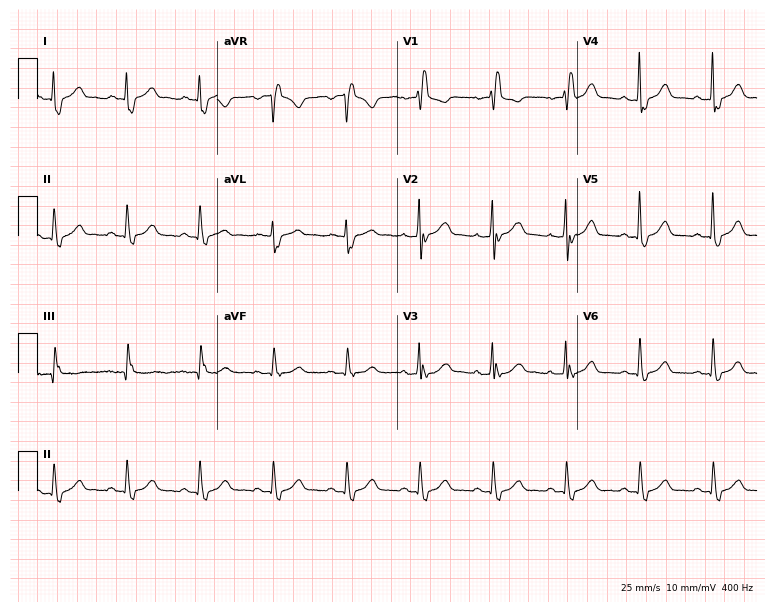
12-lead ECG from a 61-year-old male patient. Shows right bundle branch block.